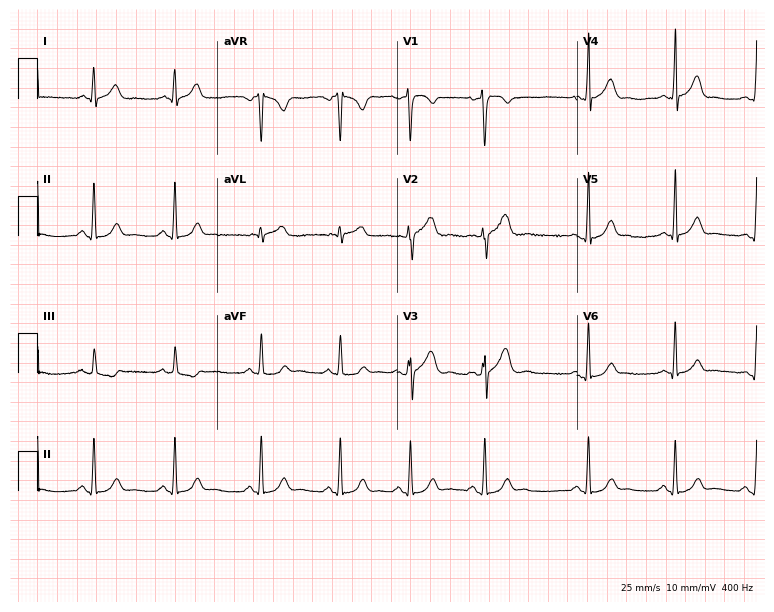
Electrocardiogram (7.3-second recording at 400 Hz), a female, 20 years old. Overall reading on record: normal ECG.